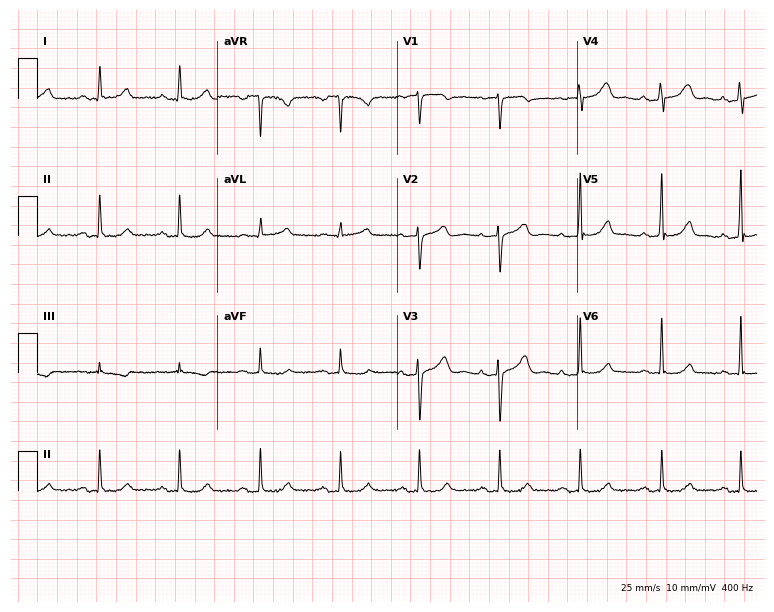
12-lead ECG (7.3-second recording at 400 Hz) from a woman, 41 years old. Labelled as a normal ECG.